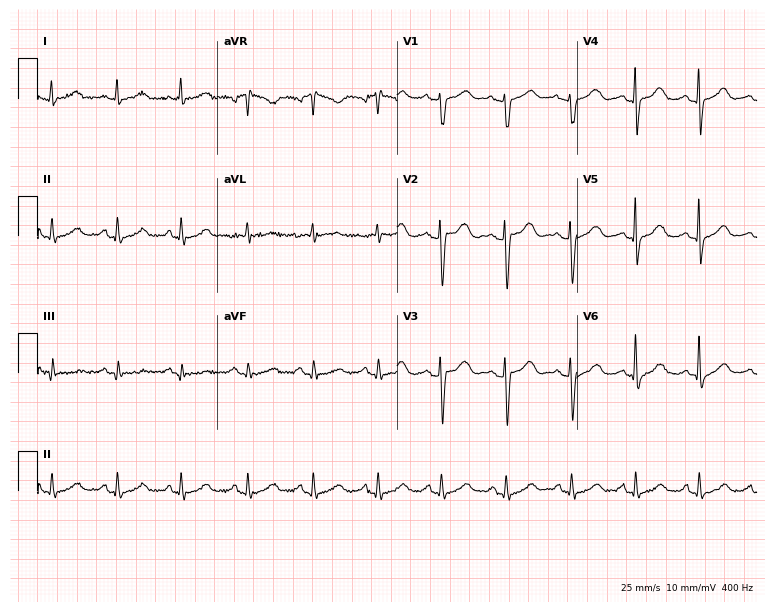
Electrocardiogram (7.3-second recording at 400 Hz), a 63-year-old female. Of the six screened findings (first-degree AV block, right bundle branch block, left bundle branch block, sinus bradycardia, atrial fibrillation, sinus tachycardia), none is recorded. Other findings, if any, are not listed.